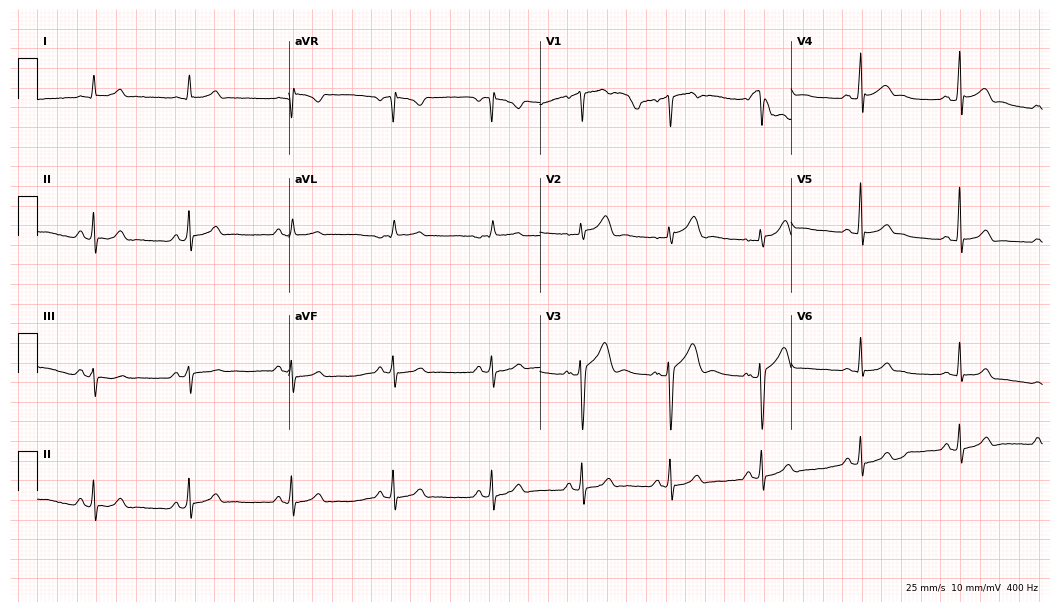
12-lead ECG from a 40-year-old male patient (10.2-second recording at 400 Hz). Recorded interpretation: within normal limits.